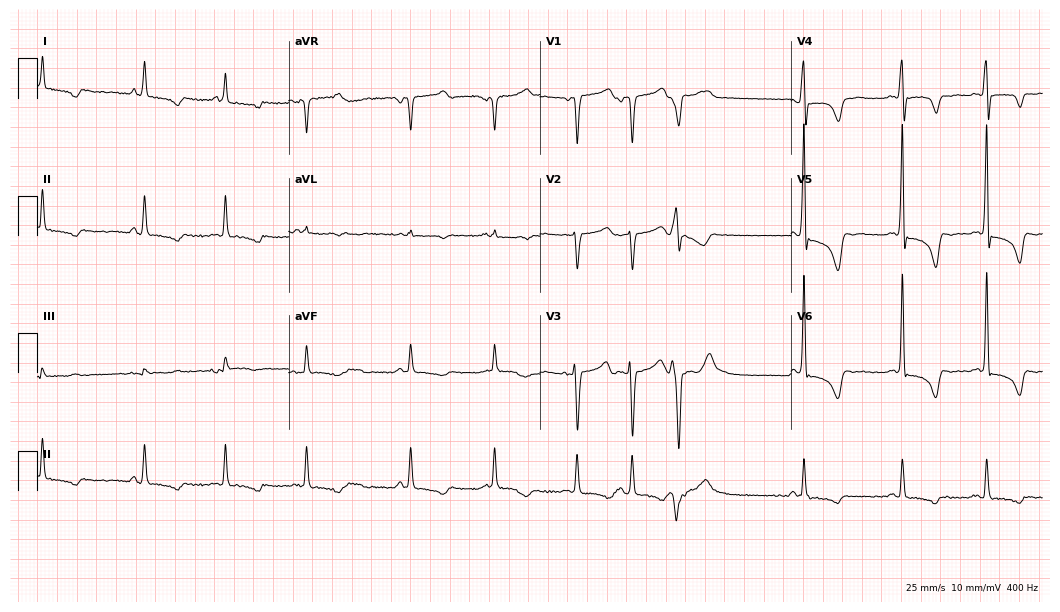
Standard 12-lead ECG recorded from a 69-year-old male (10.2-second recording at 400 Hz). None of these six findings is recorded: first-degree AV block, right bundle branch block, left bundle branch block, sinus bradycardia, atrial fibrillation, sinus tachycardia. Findings outside these six are not listed.